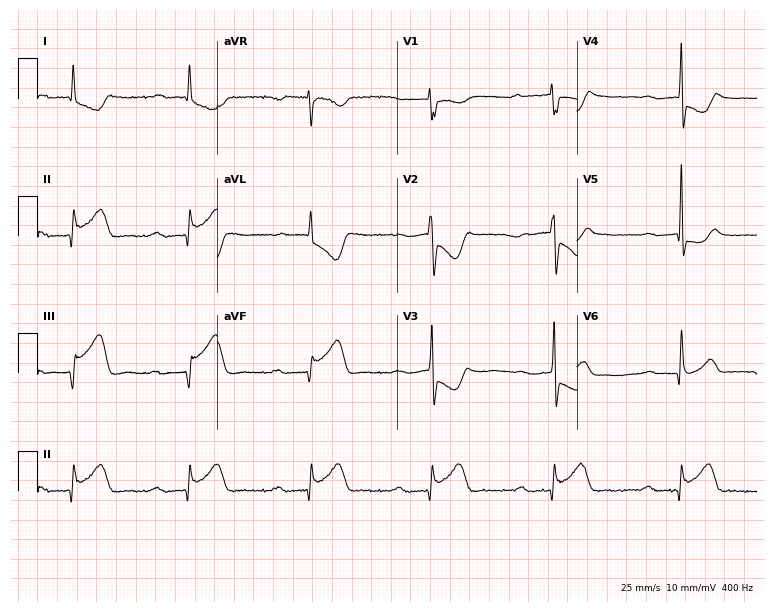
ECG (7.3-second recording at 400 Hz) — a female, 52 years old. Findings include first-degree AV block, sinus bradycardia (a sinus rate of 50 beats per minute or less).